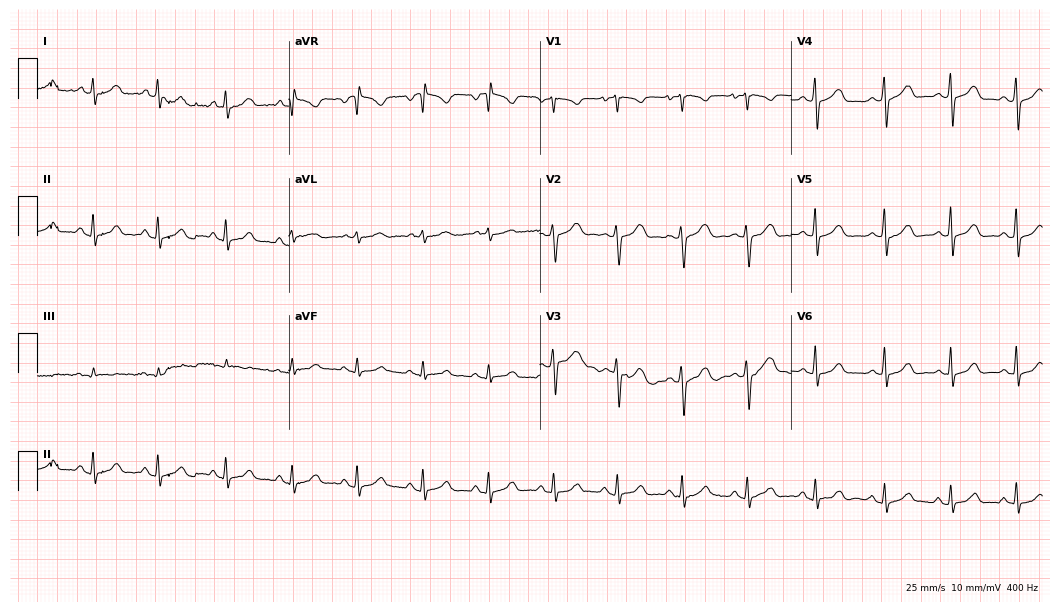
ECG (10.2-second recording at 400 Hz) — a 28-year-old woman. Labelled as a normal ECG.